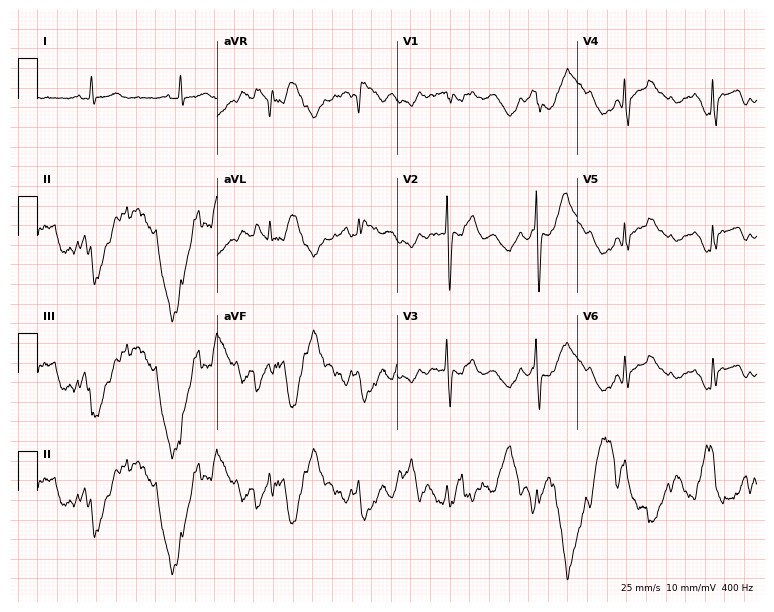
12-lead ECG from an 82-year-old male (7.3-second recording at 400 Hz). No first-degree AV block, right bundle branch block, left bundle branch block, sinus bradycardia, atrial fibrillation or sinus tachycardia recorded for this tracing.